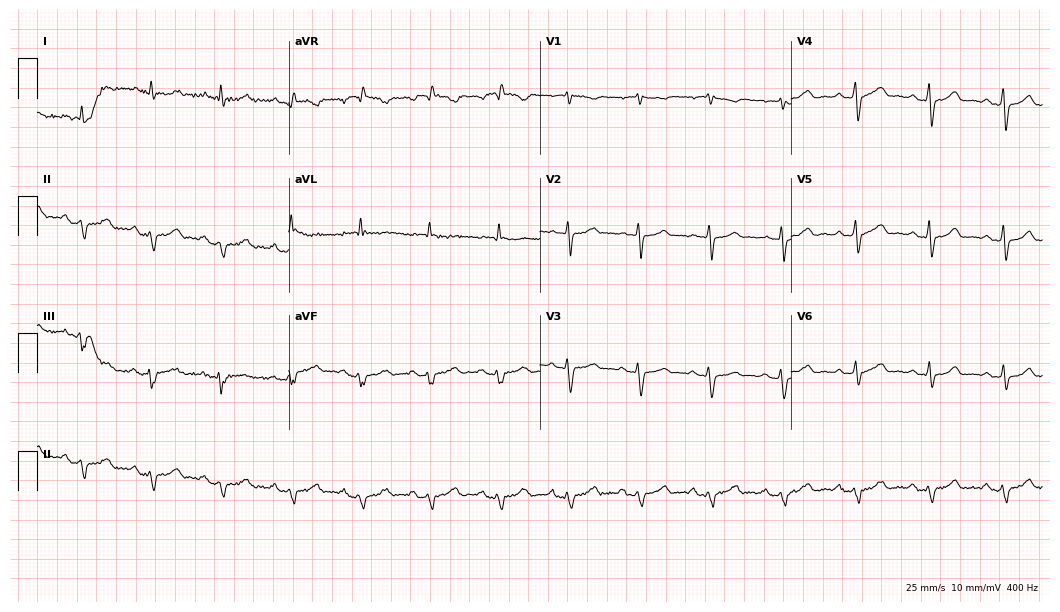
Resting 12-lead electrocardiogram. Patient: a 61-year-old female. None of these six findings is recorded: first-degree AV block, right bundle branch block, left bundle branch block, sinus bradycardia, atrial fibrillation, sinus tachycardia. Findings outside these six are not listed.